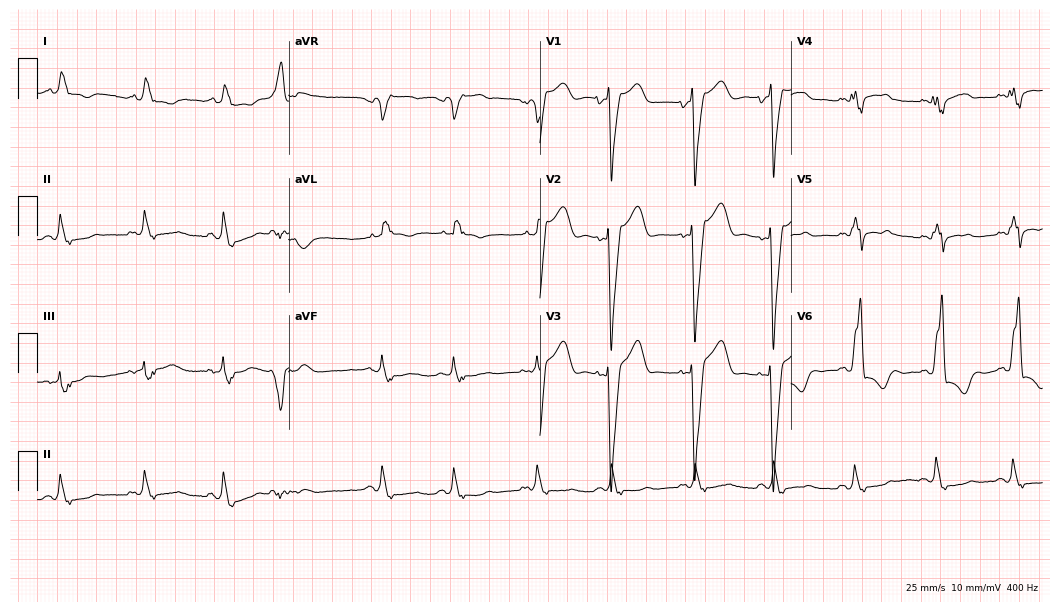
Resting 12-lead electrocardiogram (10.2-second recording at 400 Hz). Patient: a woman, 74 years old. None of these six findings is recorded: first-degree AV block, right bundle branch block, left bundle branch block, sinus bradycardia, atrial fibrillation, sinus tachycardia. Findings outside these six are not listed.